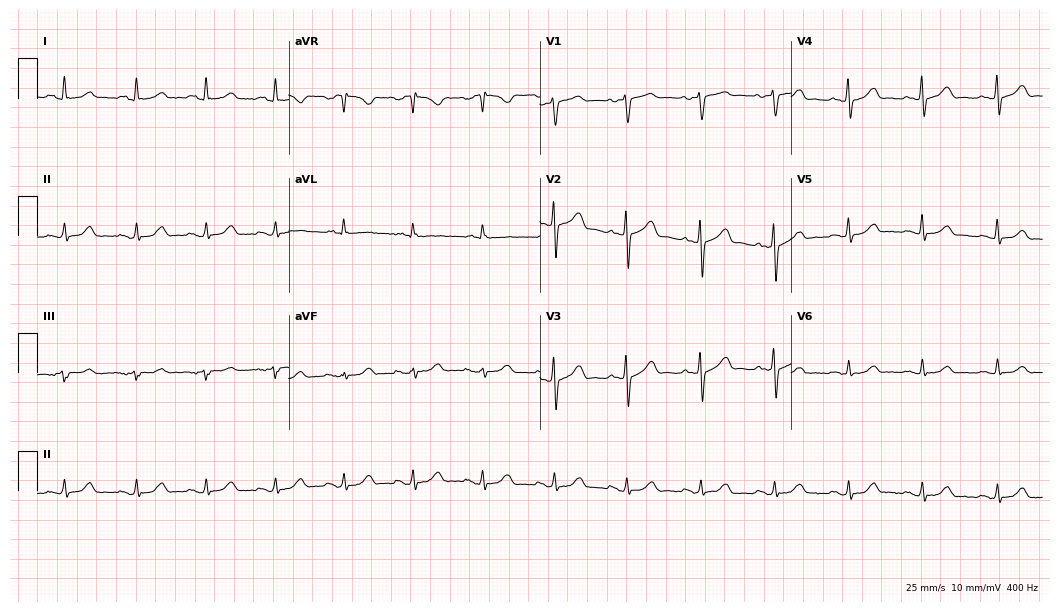
ECG (10.2-second recording at 400 Hz) — a 66-year-old female. Labelled as a normal ECG.